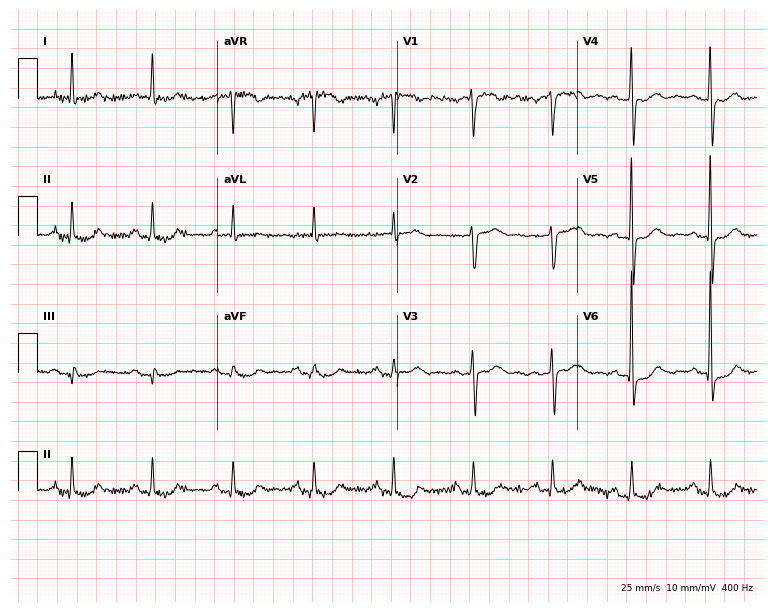
12-lead ECG from a 71-year-old male (7.3-second recording at 400 Hz). Recorded interpretation: within normal limits.